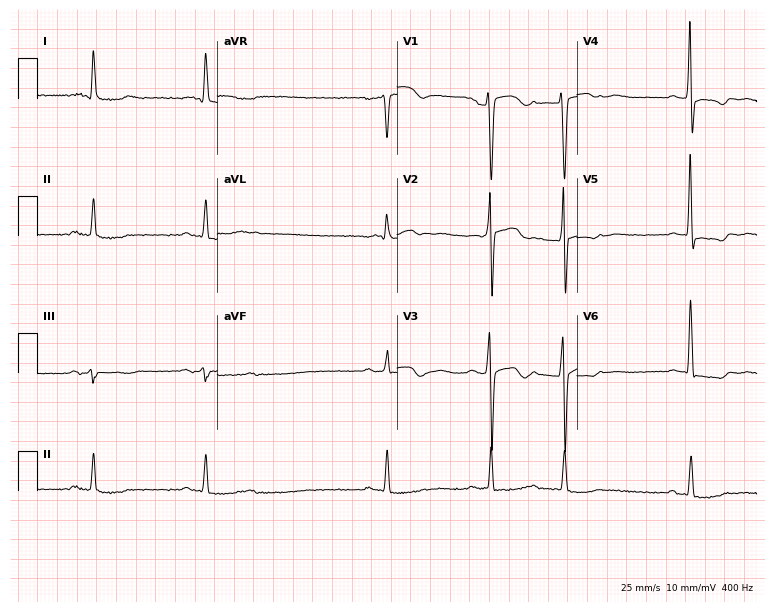
12-lead ECG from a 79-year-old man. Screened for six findings — first-degree AV block, right bundle branch block (RBBB), left bundle branch block (LBBB), sinus bradycardia, atrial fibrillation (AF), sinus tachycardia — none is recorded. Other findings, if any, are not listed.